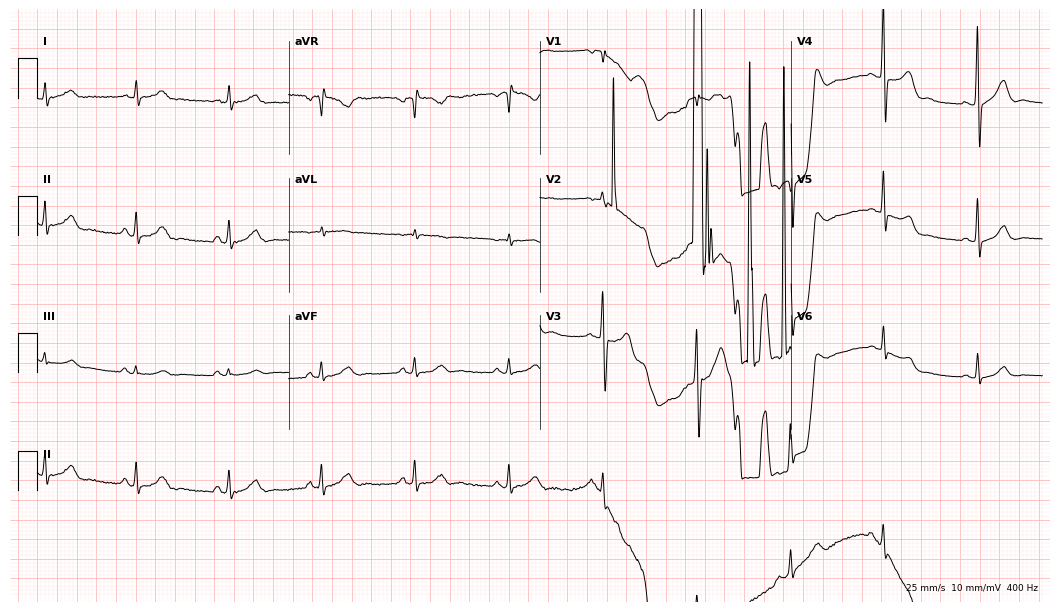
Standard 12-lead ECG recorded from a 55-year-old male (10.2-second recording at 400 Hz). None of these six findings is recorded: first-degree AV block, right bundle branch block, left bundle branch block, sinus bradycardia, atrial fibrillation, sinus tachycardia.